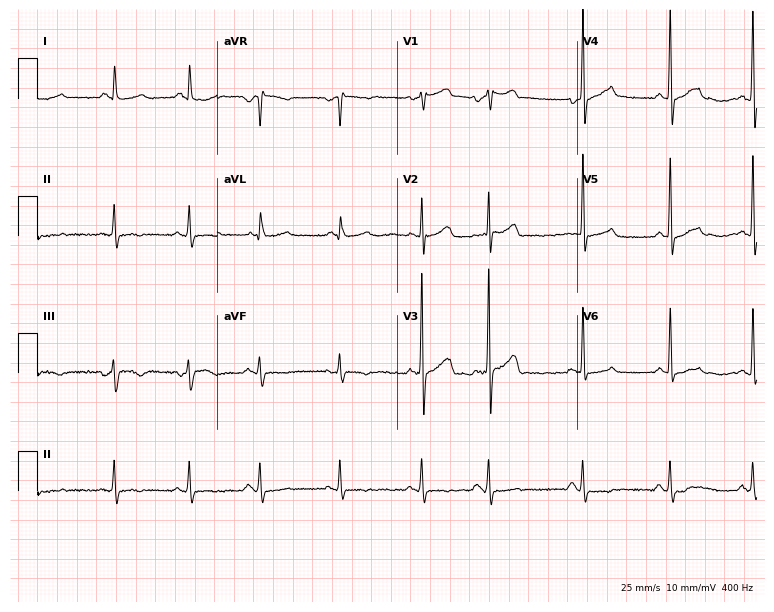
Standard 12-lead ECG recorded from a male patient, 61 years old (7.3-second recording at 400 Hz). None of these six findings is recorded: first-degree AV block, right bundle branch block, left bundle branch block, sinus bradycardia, atrial fibrillation, sinus tachycardia. Findings outside these six are not listed.